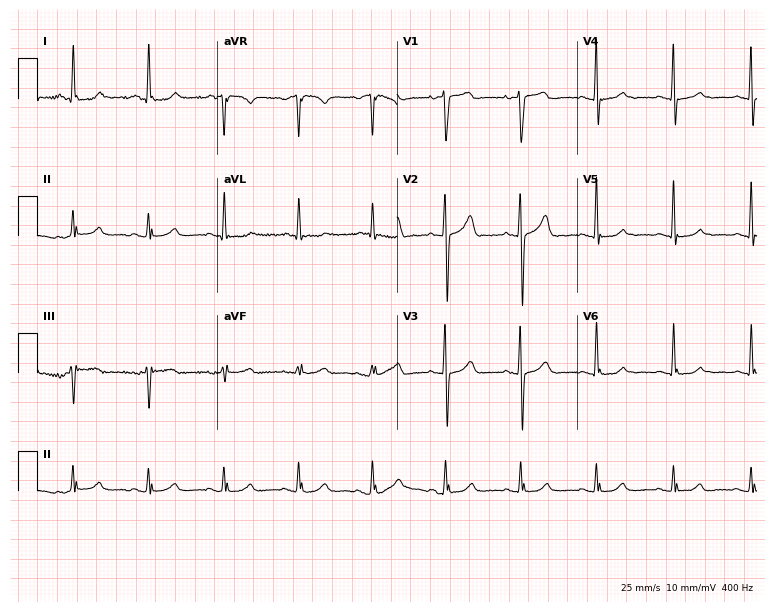
12-lead ECG from a 68-year-old female patient (7.3-second recording at 400 Hz). No first-degree AV block, right bundle branch block (RBBB), left bundle branch block (LBBB), sinus bradycardia, atrial fibrillation (AF) or sinus tachycardia recorded for this tracing.